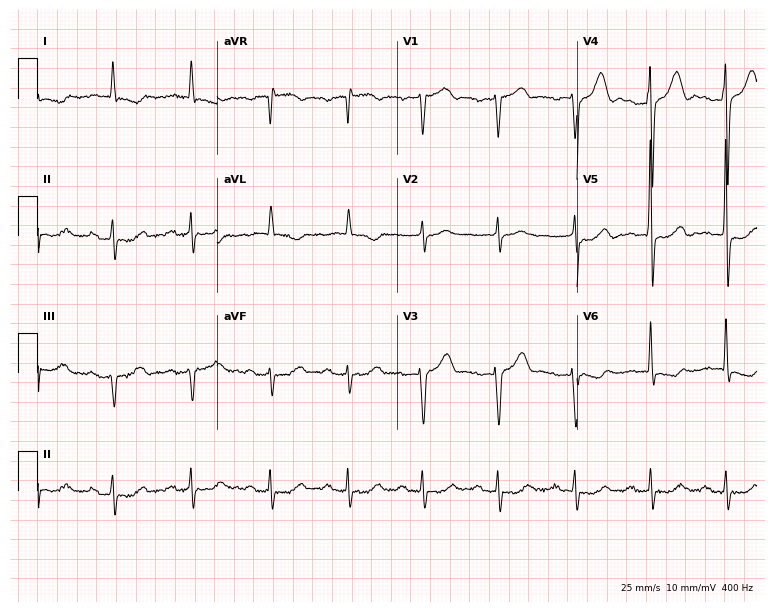
Electrocardiogram (7.3-second recording at 400 Hz), a 69-year-old male. Of the six screened findings (first-degree AV block, right bundle branch block (RBBB), left bundle branch block (LBBB), sinus bradycardia, atrial fibrillation (AF), sinus tachycardia), none is recorded.